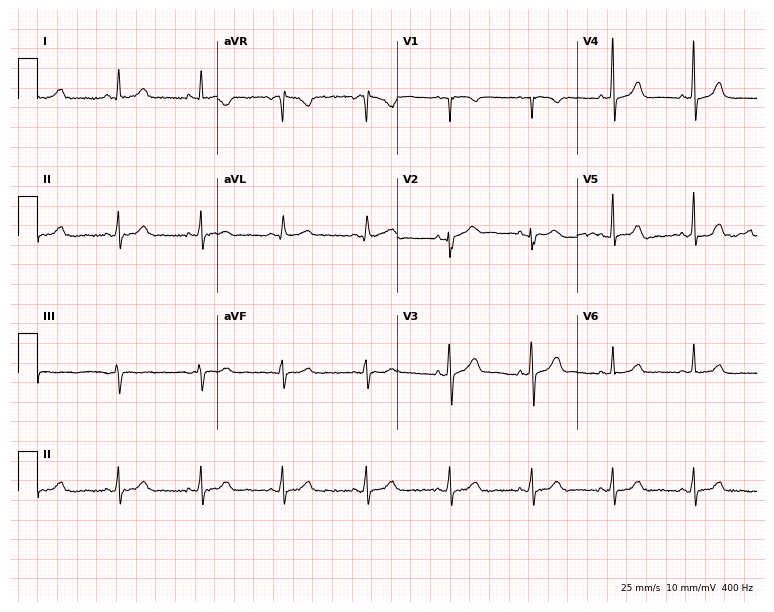
12-lead ECG from a woman, 46 years old. Screened for six findings — first-degree AV block, right bundle branch block, left bundle branch block, sinus bradycardia, atrial fibrillation, sinus tachycardia — none is recorded. Findings outside these six are not listed.